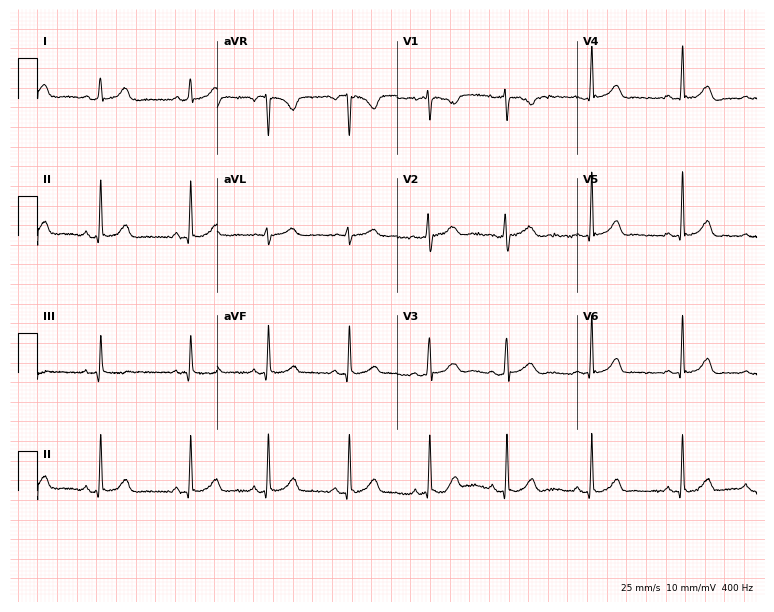
Resting 12-lead electrocardiogram. Patient: a 28-year-old female. Read as a normal ECG.